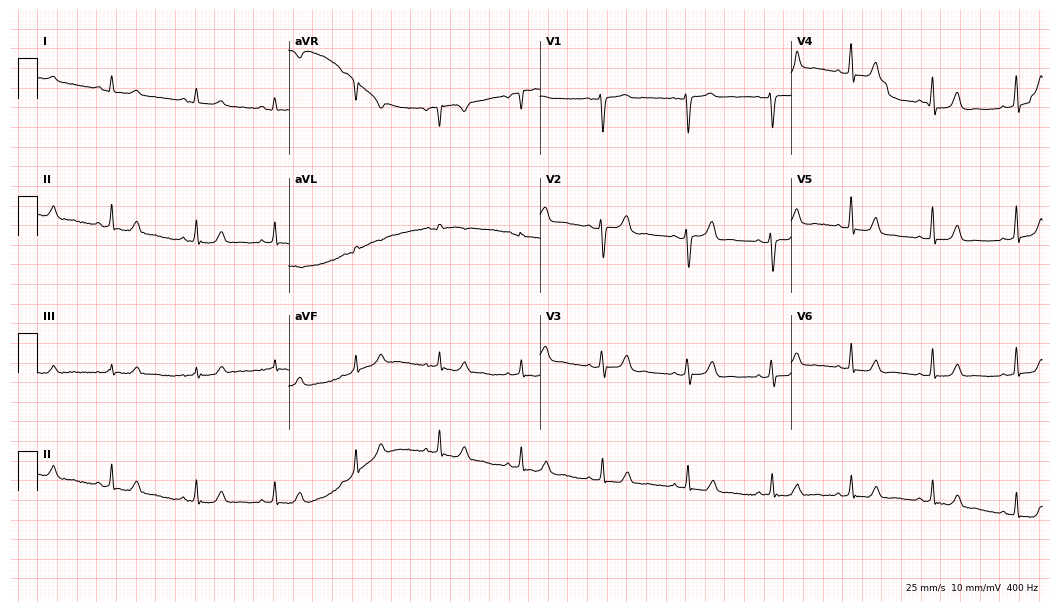
Electrocardiogram, a woman, 27 years old. Overall reading on record: normal ECG.